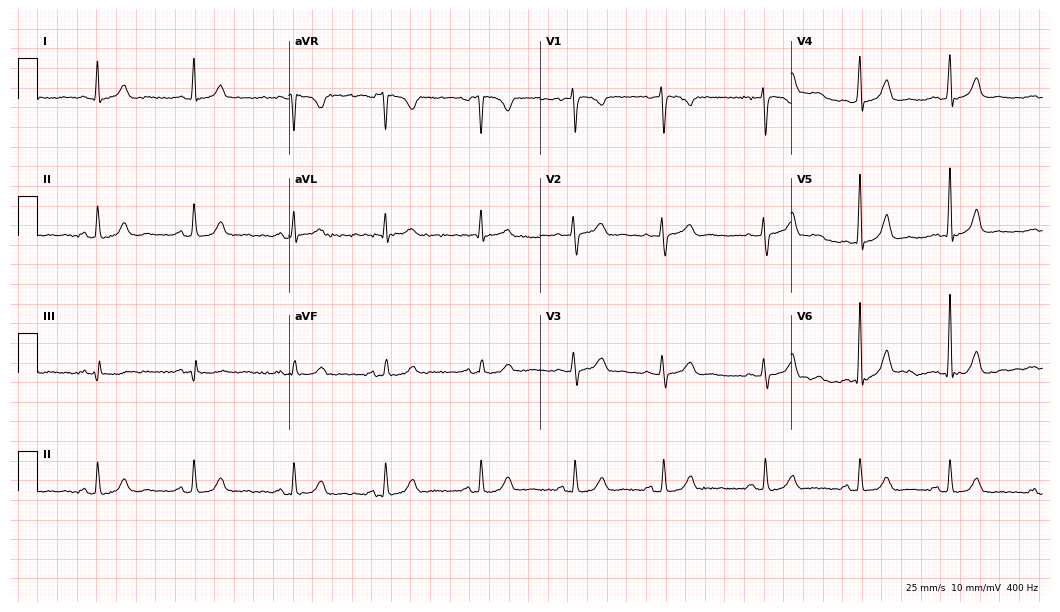
Electrocardiogram (10.2-second recording at 400 Hz), a female patient, 33 years old. Overall reading on record: normal ECG.